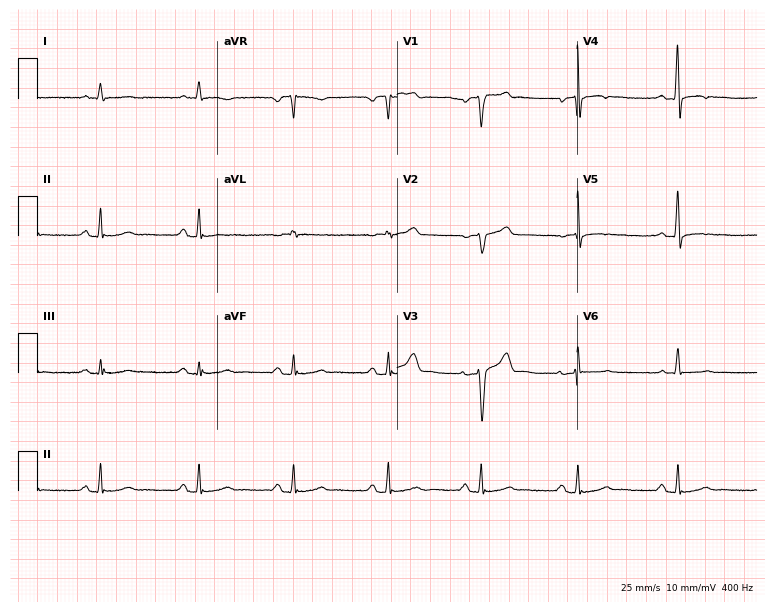
12-lead ECG from a 55-year-old male patient (7.3-second recording at 400 Hz). No first-degree AV block, right bundle branch block (RBBB), left bundle branch block (LBBB), sinus bradycardia, atrial fibrillation (AF) or sinus tachycardia recorded for this tracing. Only these six findings were labelled.